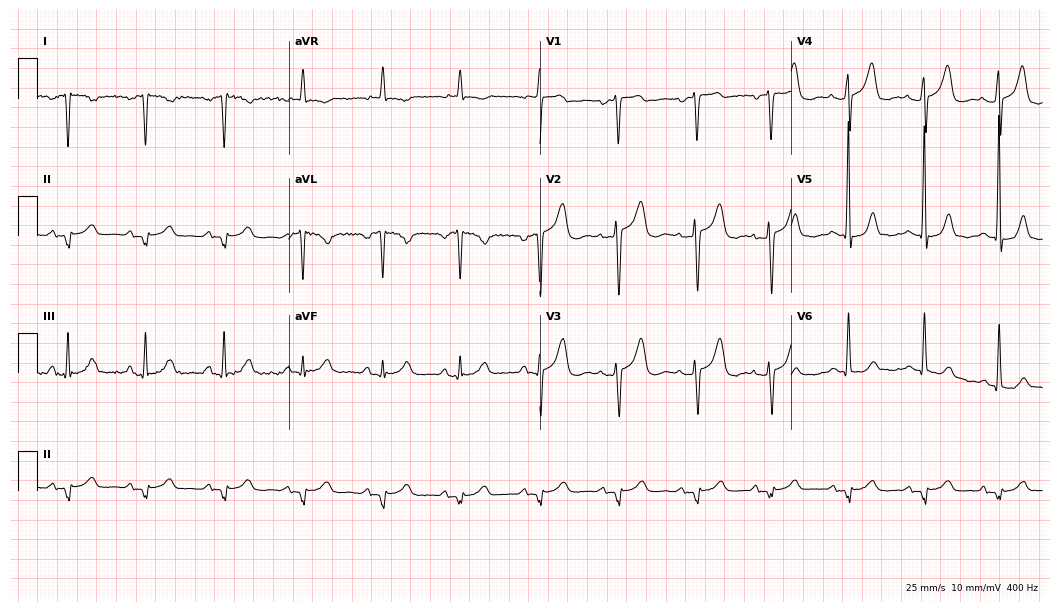
Standard 12-lead ECG recorded from a female, 81 years old (10.2-second recording at 400 Hz). None of these six findings is recorded: first-degree AV block, right bundle branch block (RBBB), left bundle branch block (LBBB), sinus bradycardia, atrial fibrillation (AF), sinus tachycardia. Only these six findings were labelled.